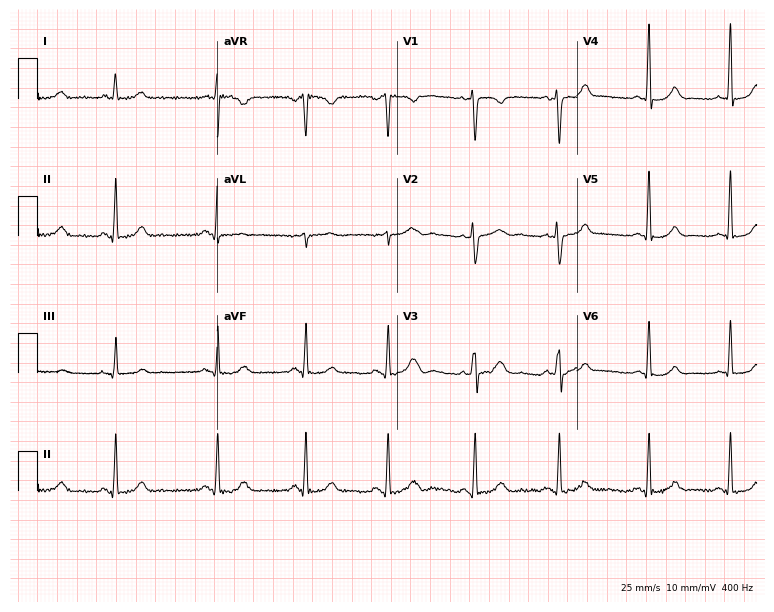
12-lead ECG (7.3-second recording at 400 Hz) from a 21-year-old female. Labelled as a normal ECG.